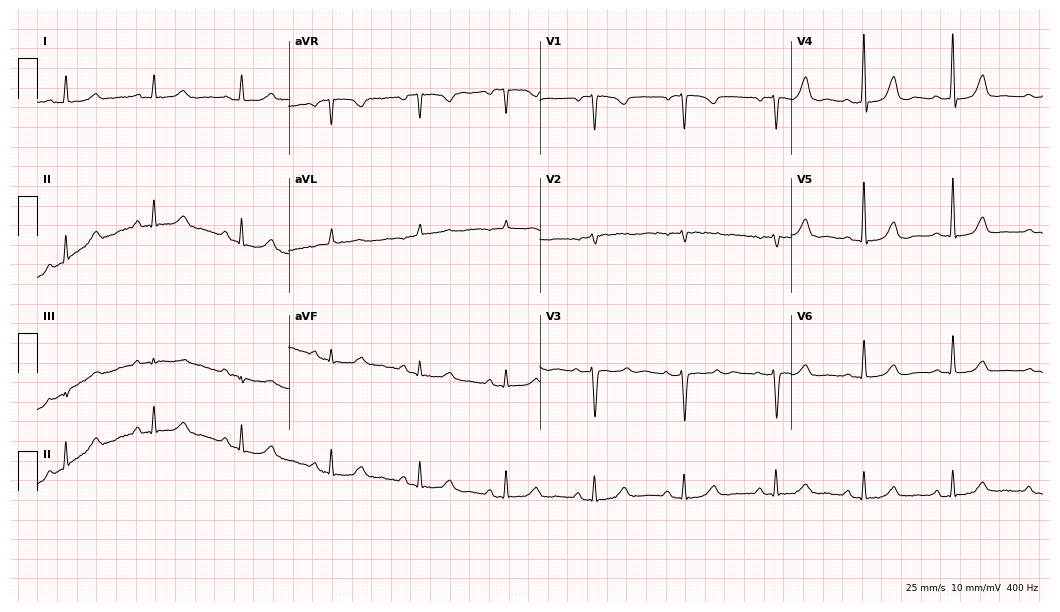
Standard 12-lead ECG recorded from a female, 52 years old (10.2-second recording at 400 Hz). Read as a normal ECG.